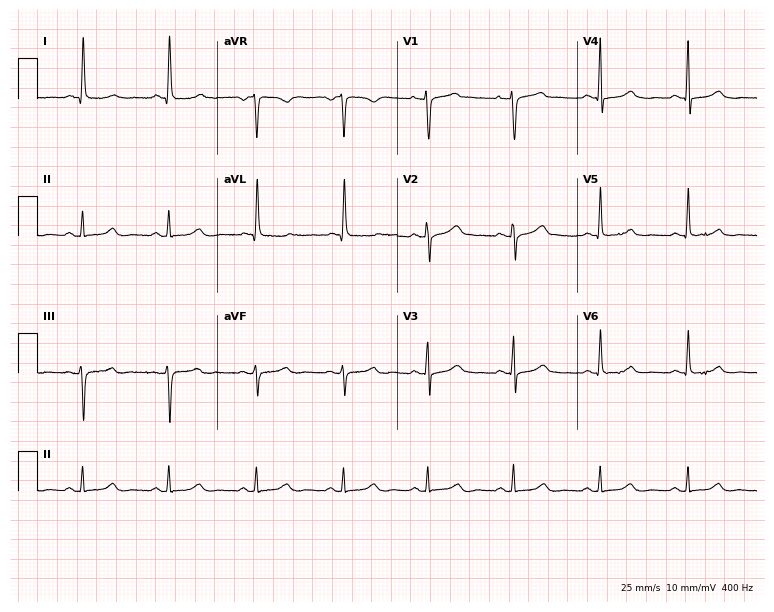
ECG (7.3-second recording at 400 Hz) — a female patient, 64 years old. Labelled as a normal ECG.